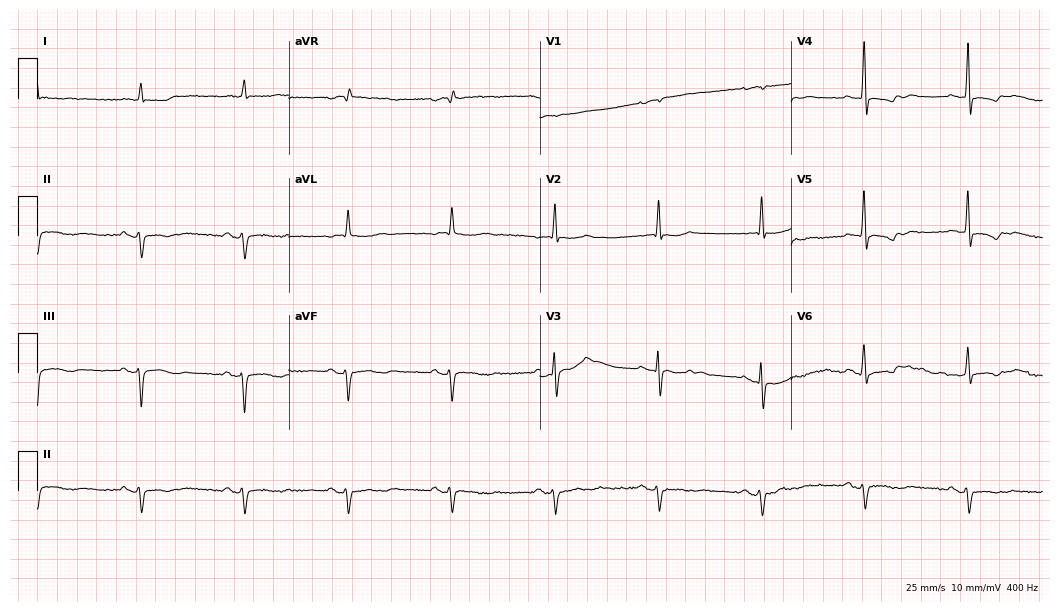
Resting 12-lead electrocardiogram (10.2-second recording at 400 Hz). Patient: an 83-year-old male. None of these six findings is recorded: first-degree AV block, right bundle branch block, left bundle branch block, sinus bradycardia, atrial fibrillation, sinus tachycardia.